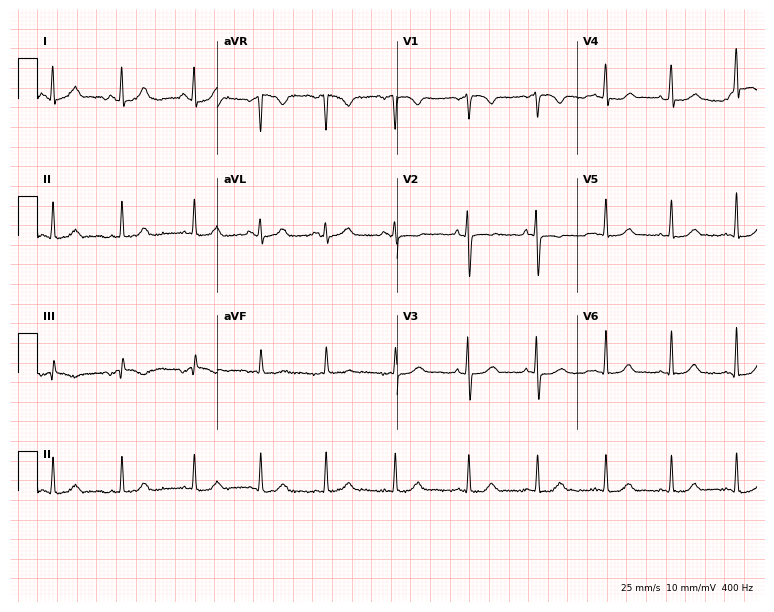
Resting 12-lead electrocardiogram. Patient: a female, 22 years old. Read as a normal ECG.